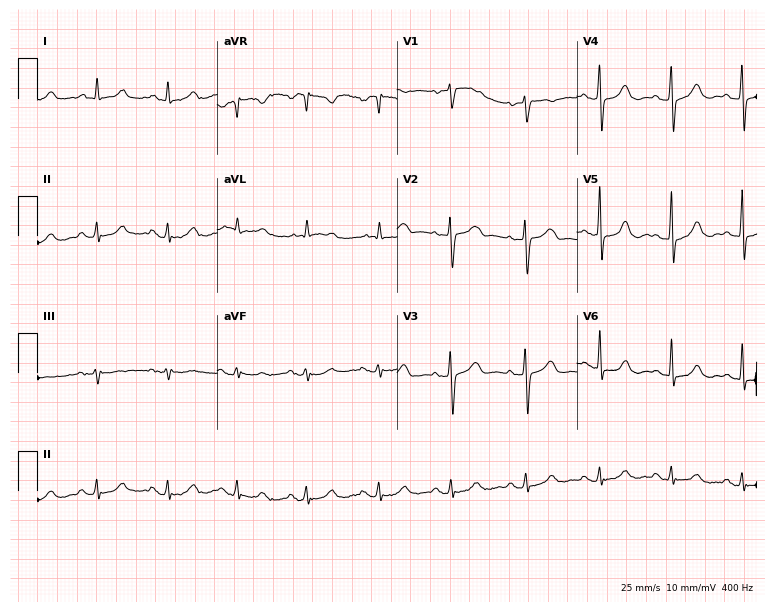
12-lead ECG from a 57-year-old woman. Screened for six findings — first-degree AV block, right bundle branch block, left bundle branch block, sinus bradycardia, atrial fibrillation, sinus tachycardia — none is recorded. Findings outside these six are not listed.